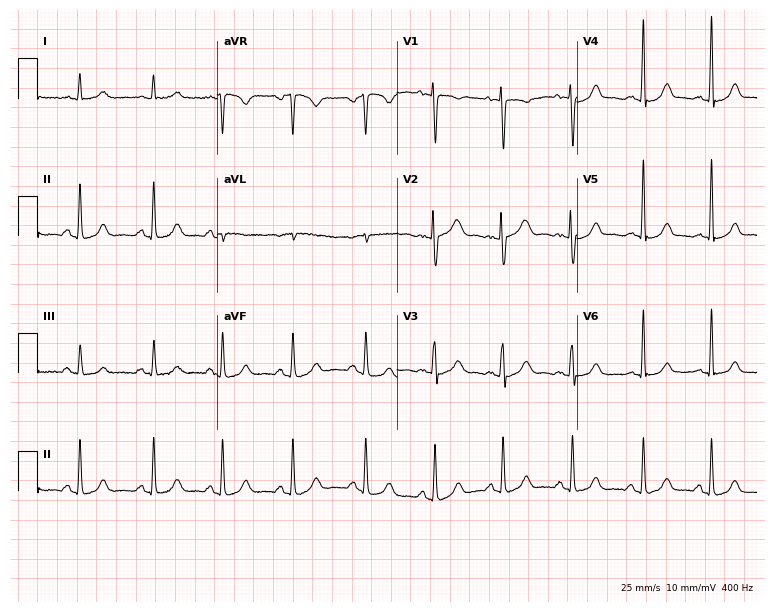
12-lead ECG from a 37-year-old female patient (7.3-second recording at 400 Hz). Recorded interpretation: within normal limits.